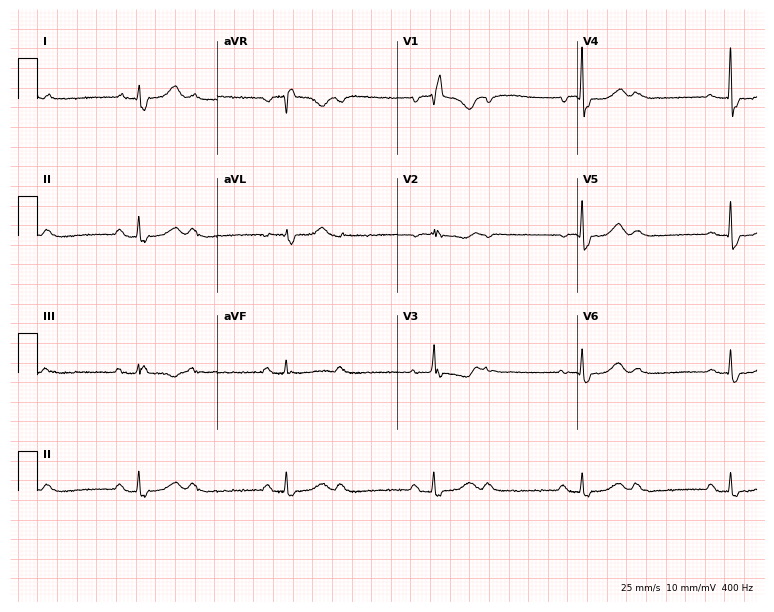
12-lead ECG from a female patient, 72 years old. No first-degree AV block, right bundle branch block, left bundle branch block, sinus bradycardia, atrial fibrillation or sinus tachycardia recorded for this tracing. Other findings, if any, are not listed.